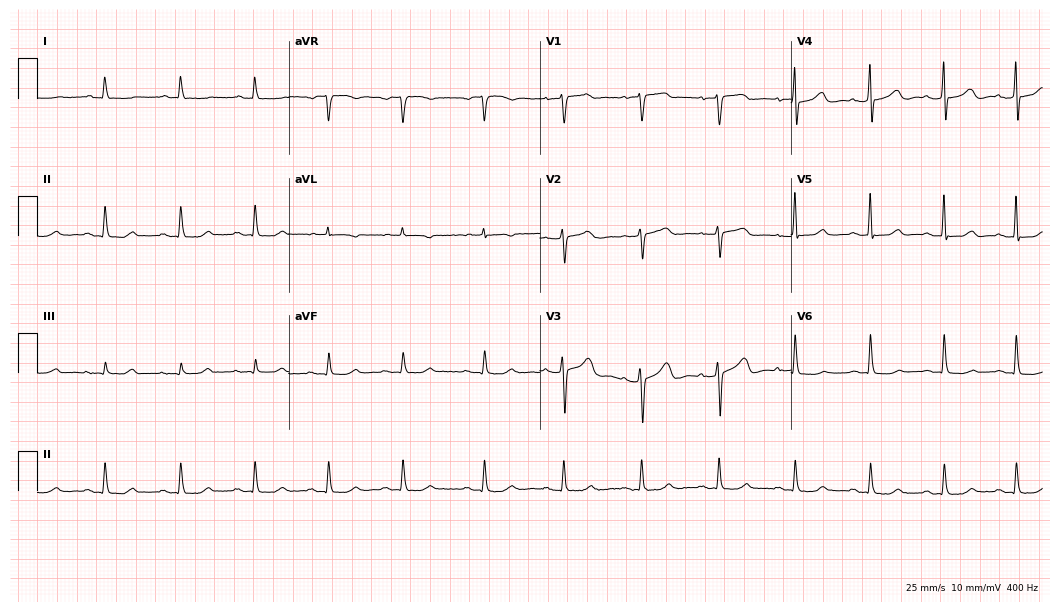
Electrocardiogram (10.2-second recording at 400 Hz), a woman, 65 years old. Overall reading on record: normal ECG.